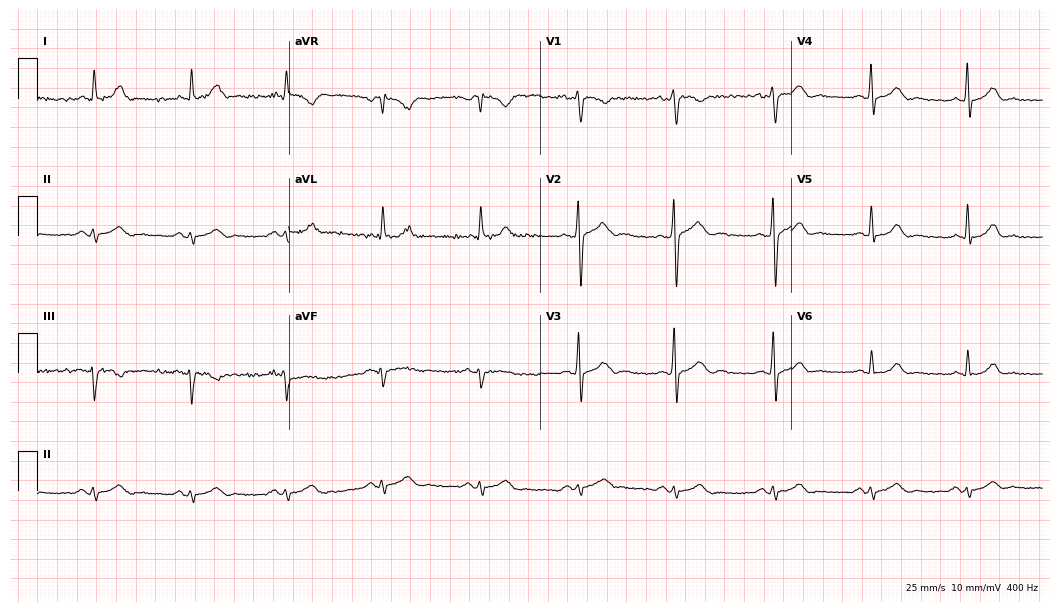
12-lead ECG from a 56-year-old man. Screened for six findings — first-degree AV block, right bundle branch block, left bundle branch block, sinus bradycardia, atrial fibrillation, sinus tachycardia — none is recorded. Other findings, if any, are not listed.